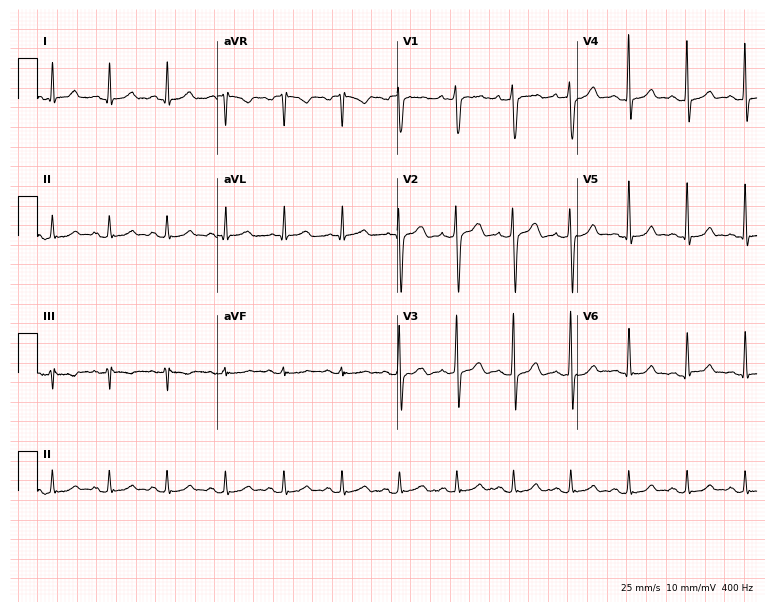
Electrocardiogram (7.3-second recording at 400 Hz), a male, 47 years old. Interpretation includes sinus tachycardia (a sinus rate of 100 beats per minute or more).